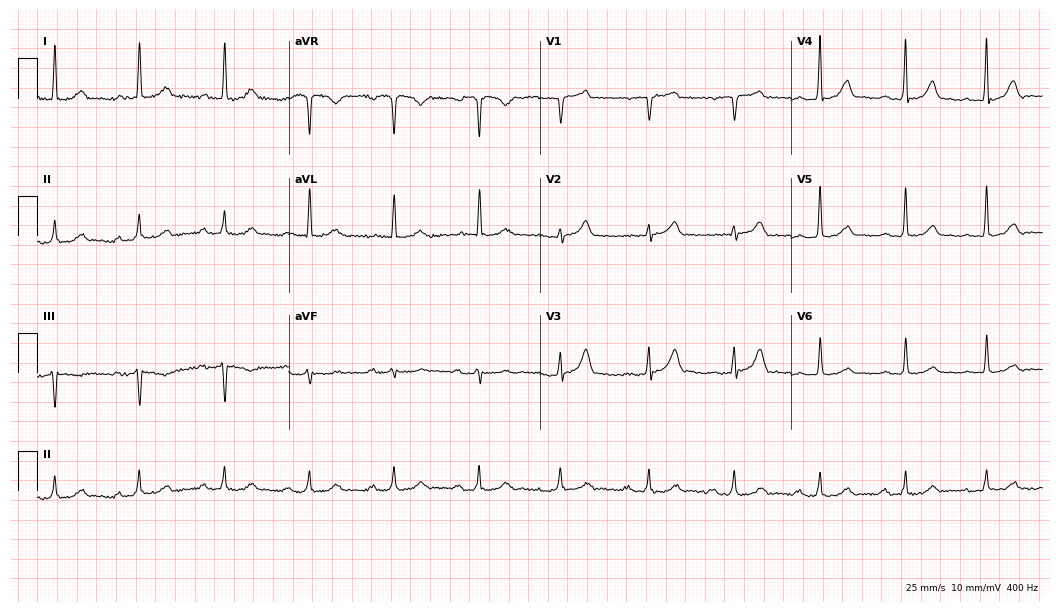
12-lead ECG from a 75-year-old woman. Recorded interpretation: within normal limits.